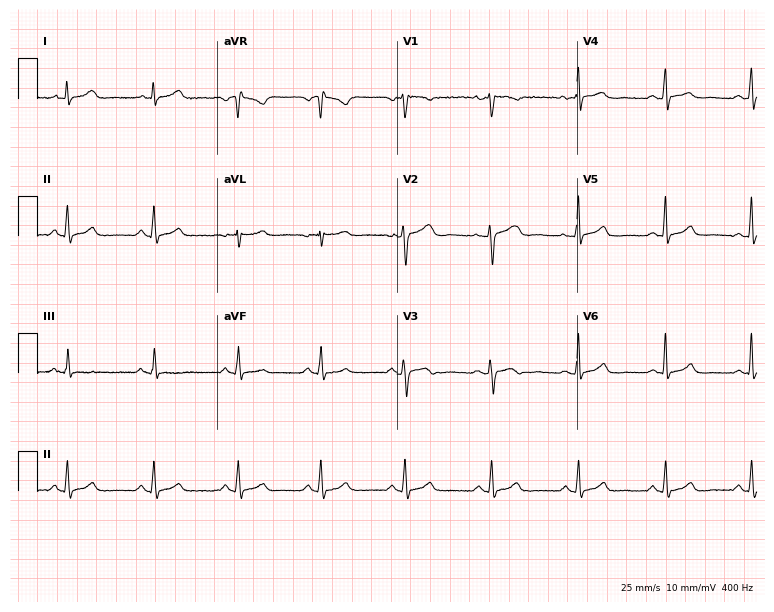
Standard 12-lead ECG recorded from a 28-year-old female (7.3-second recording at 400 Hz). Read as a normal ECG.